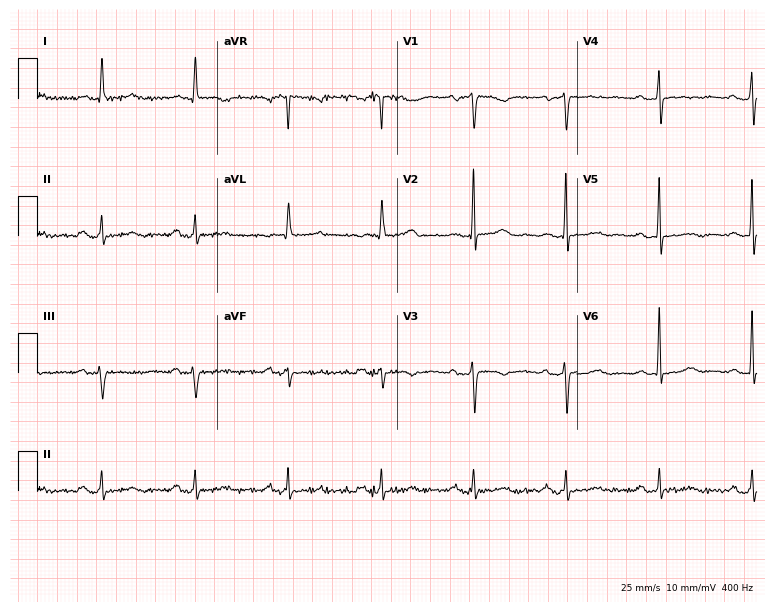
Resting 12-lead electrocardiogram (7.3-second recording at 400 Hz). Patient: a female, 83 years old. The tracing shows first-degree AV block.